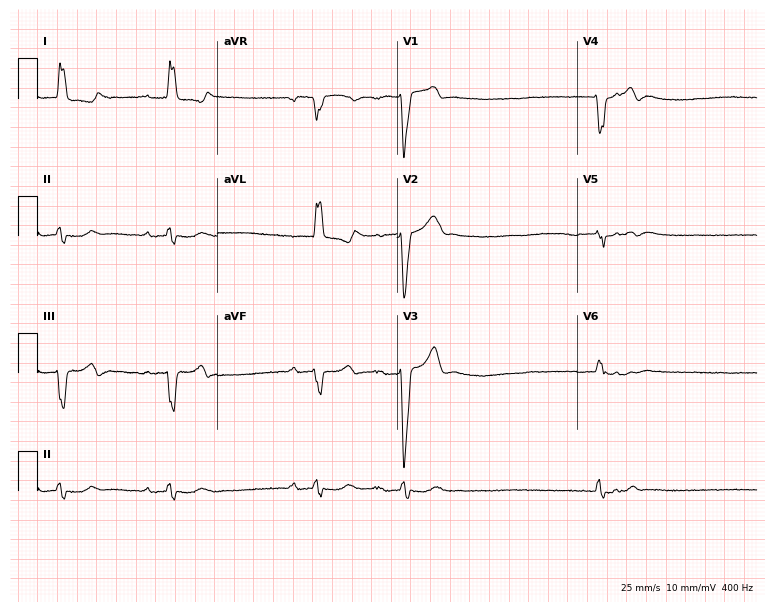
Standard 12-lead ECG recorded from a 64-year-old female patient. None of these six findings is recorded: first-degree AV block, right bundle branch block (RBBB), left bundle branch block (LBBB), sinus bradycardia, atrial fibrillation (AF), sinus tachycardia.